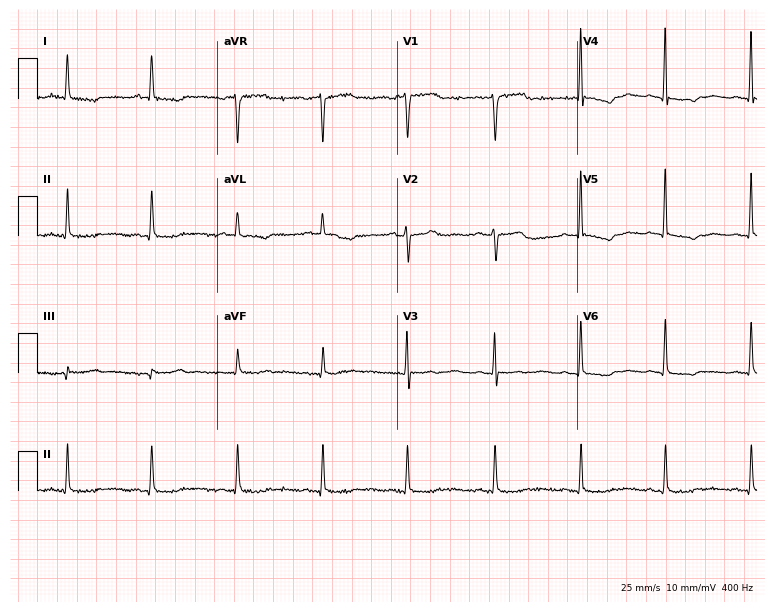
ECG (7.3-second recording at 400 Hz) — a 43-year-old female. Screened for six findings — first-degree AV block, right bundle branch block, left bundle branch block, sinus bradycardia, atrial fibrillation, sinus tachycardia — none is recorded.